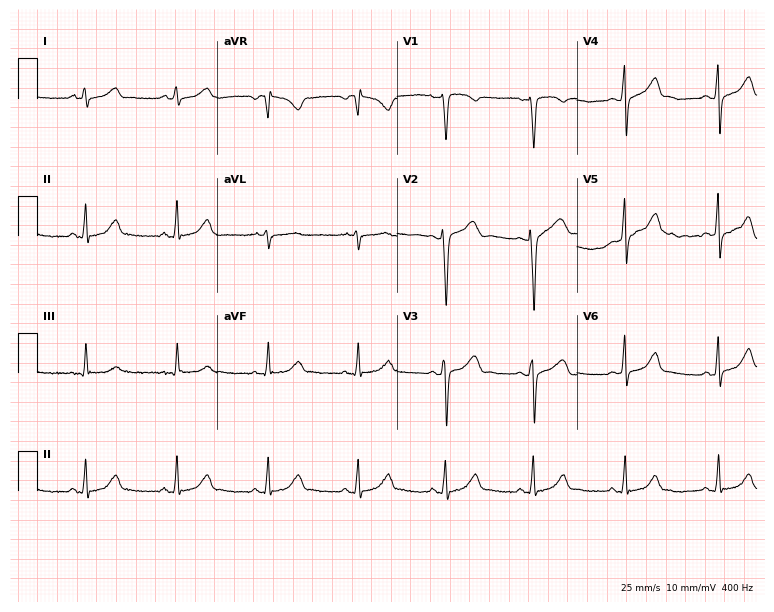
Electrocardiogram (7.3-second recording at 400 Hz), a 27-year-old female patient. Overall reading on record: normal ECG.